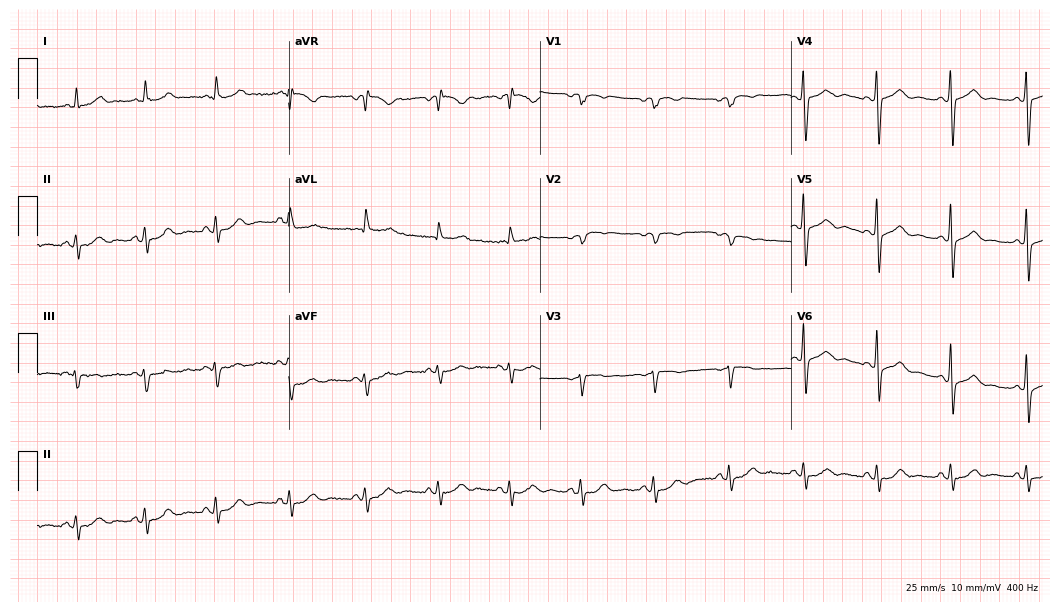
Standard 12-lead ECG recorded from a female, 67 years old. None of these six findings is recorded: first-degree AV block, right bundle branch block, left bundle branch block, sinus bradycardia, atrial fibrillation, sinus tachycardia. Findings outside these six are not listed.